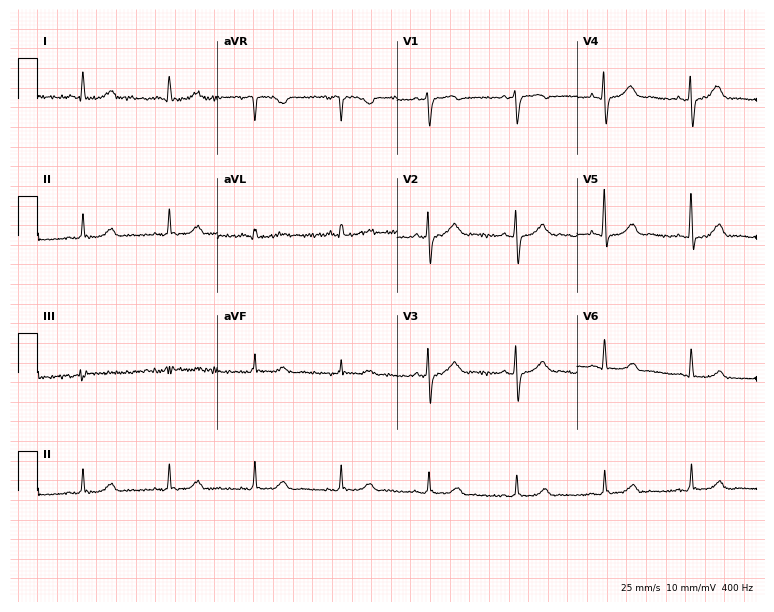
Standard 12-lead ECG recorded from a female, 68 years old (7.3-second recording at 400 Hz). Read as a normal ECG.